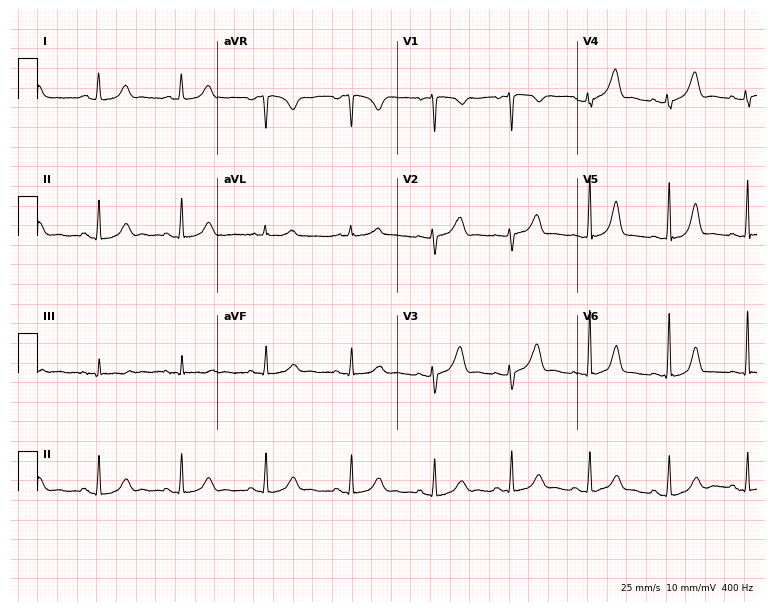
Resting 12-lead electrocardiogram (7.3-second recording at 400 Hz). Patient: a 43-year-old female. Read as a normal ECG.